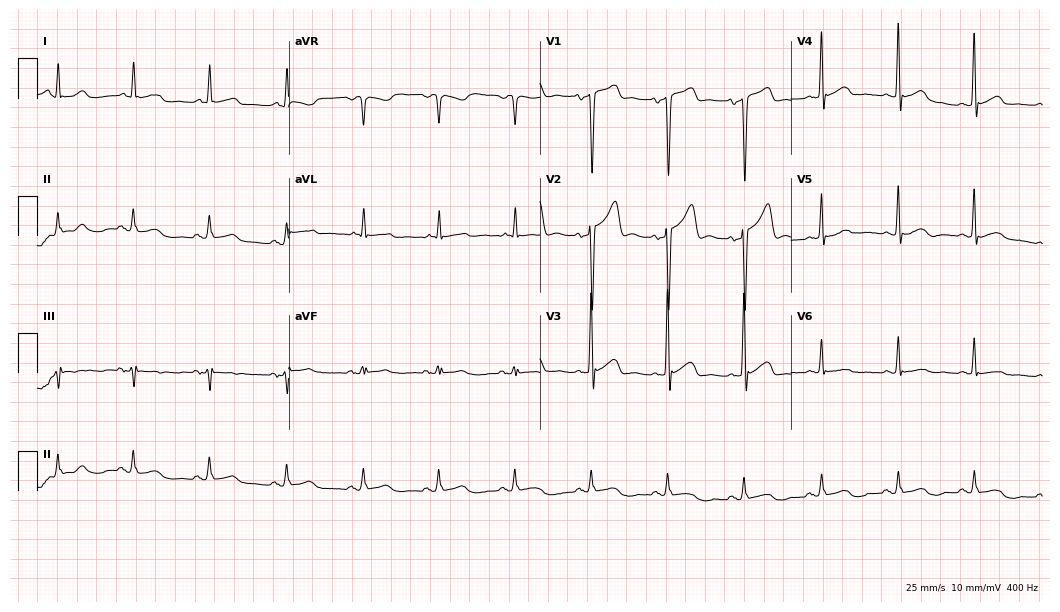
ECG — a 53-year-old man. Screened for six findings — first-degree AV block, right bundle branch block (RBBB), left bundle branch block (LBBB), sinus bradycardia, atrial fibrillation (AF), sinus tachycardia — none is recorded.